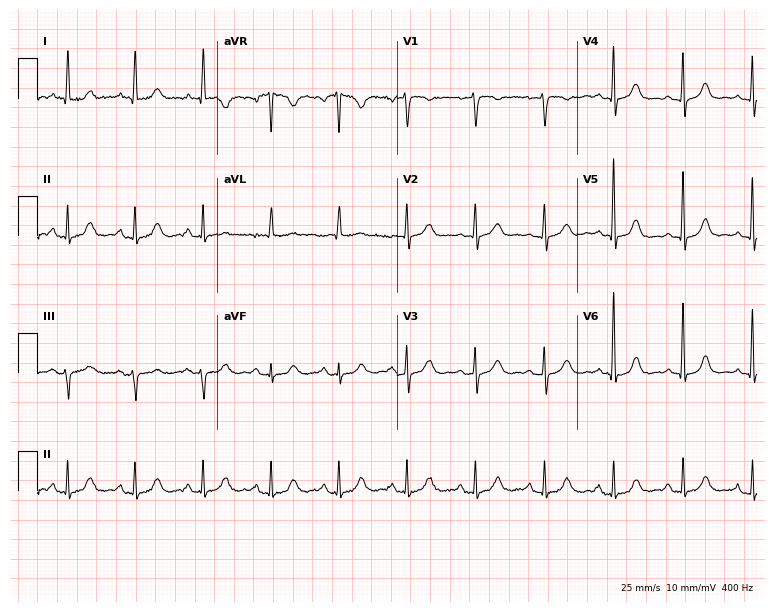
12-lead ECG from a 65-year-old female patient. Recorded interpretation: within normal limits.